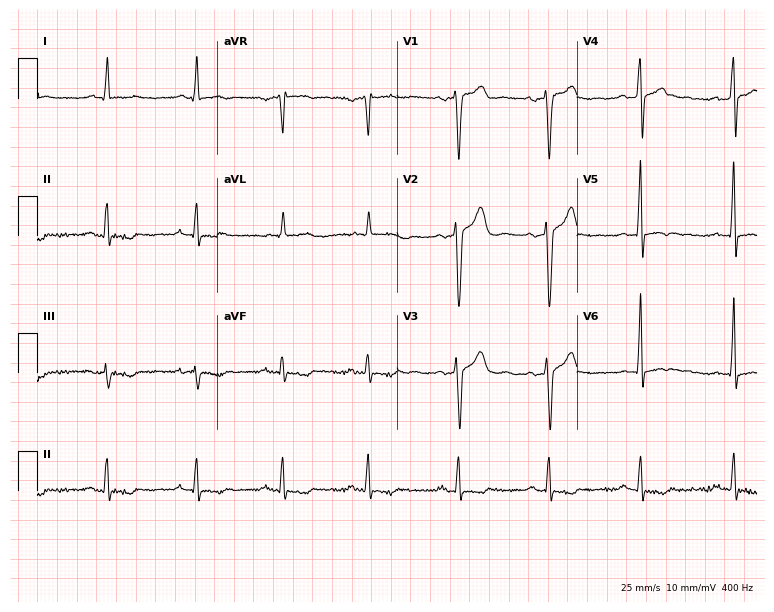
12-lead ECG from a male, 50 years old. Screened for six findings — first-degree AV block, right bundle branch block (RBBB), left bundle branch block (LBBB), sinus bradycardia, atrial fibrillation (AF), sinus tachycardia — none is recorded. Other findings, if any, are not listed.